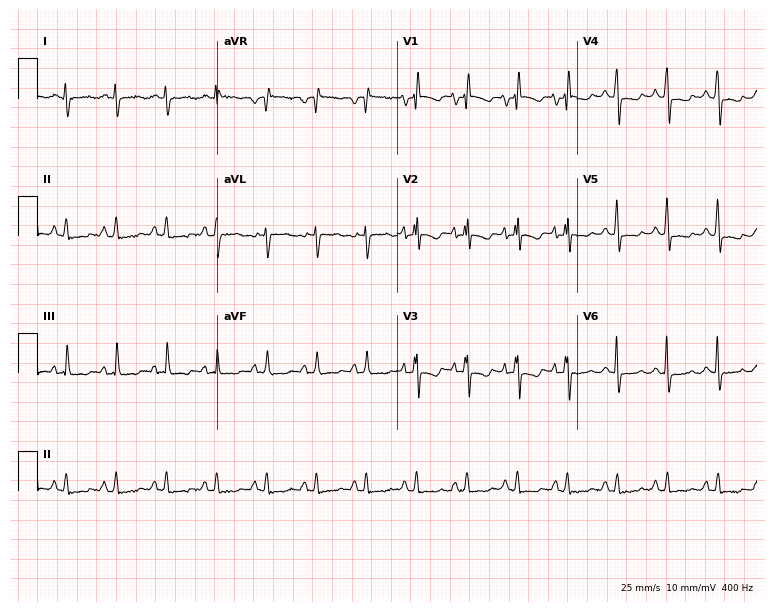
12-lead ECG from a female patient, 51 years old. Findings include sinus tachycardia (a sinus rate of 100 beats per minute or more).